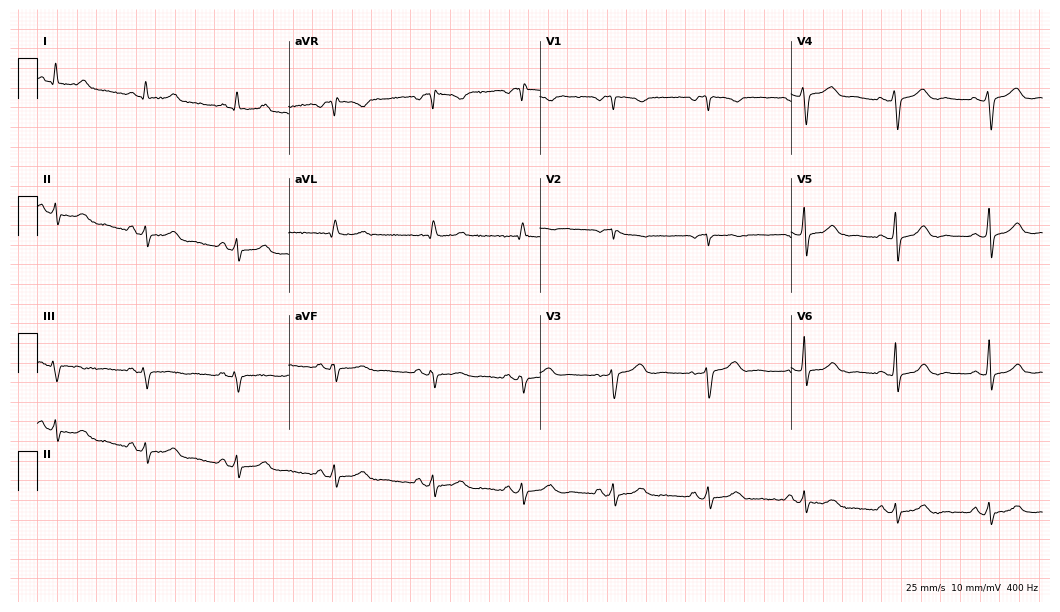
ECG — a 43-year-old female patient. Screened for six findings — first-degree AV block, right bundle branch block, left bundle branch block, sinus bradycardia, atrial fibrillation, sinus tachycardia — none is recorded.